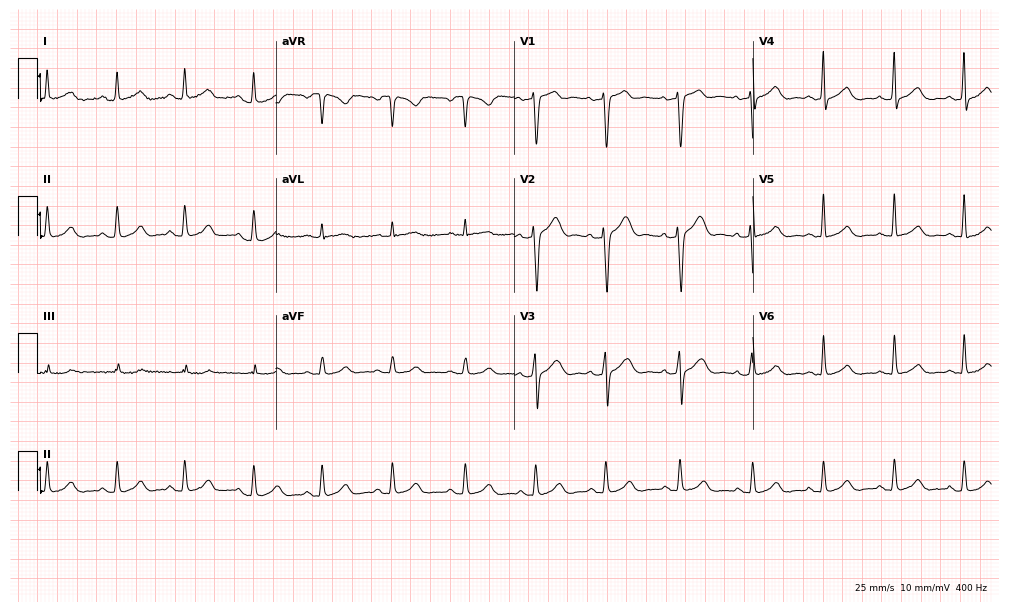
12-lead ECG (9.7-second recording at 400 Hz) from a female, 35 years old. Labelled as a normal ECG.